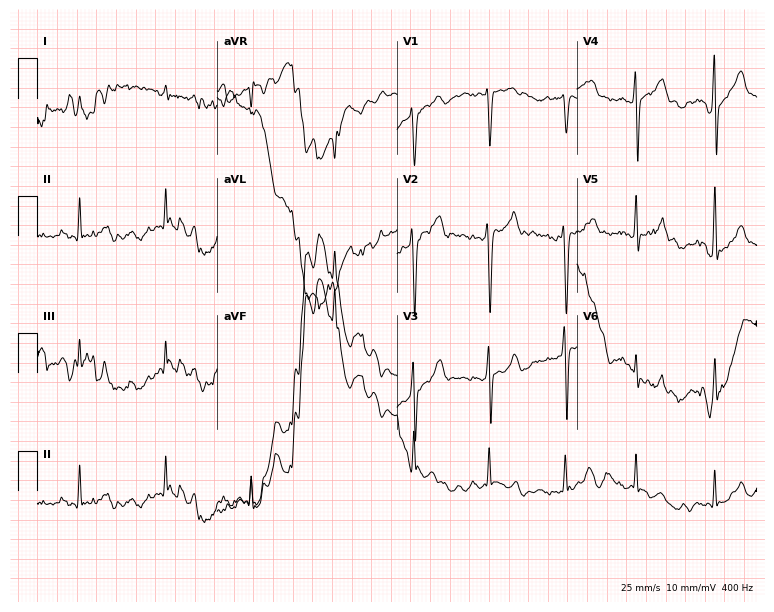
12-lead ECG from a 43-year-old male patient. Screened for six findings — first-degree AV block, right bundle branch block, left bundle branch block, sinus bradycardia, atrial fibrillation, sinus tachycardia — none is recorded.